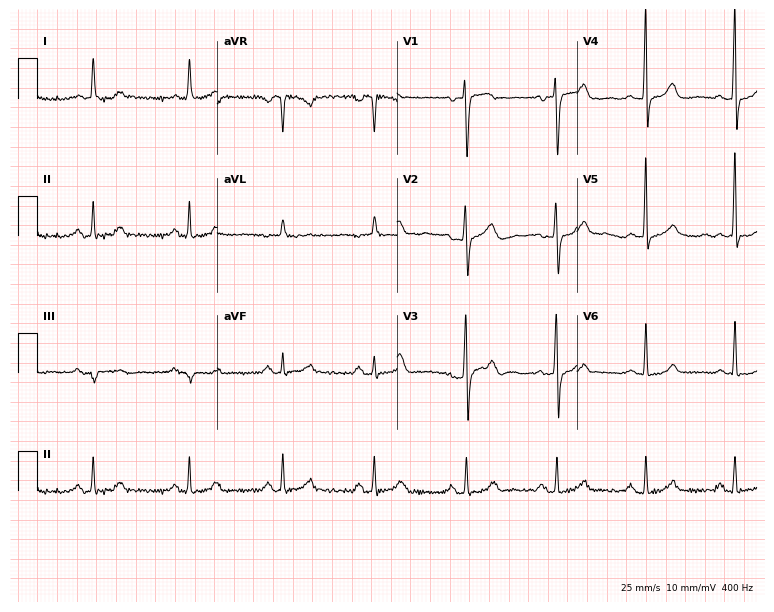
ECG — a female patient, 75 years old. Labelled as a normal ECG.